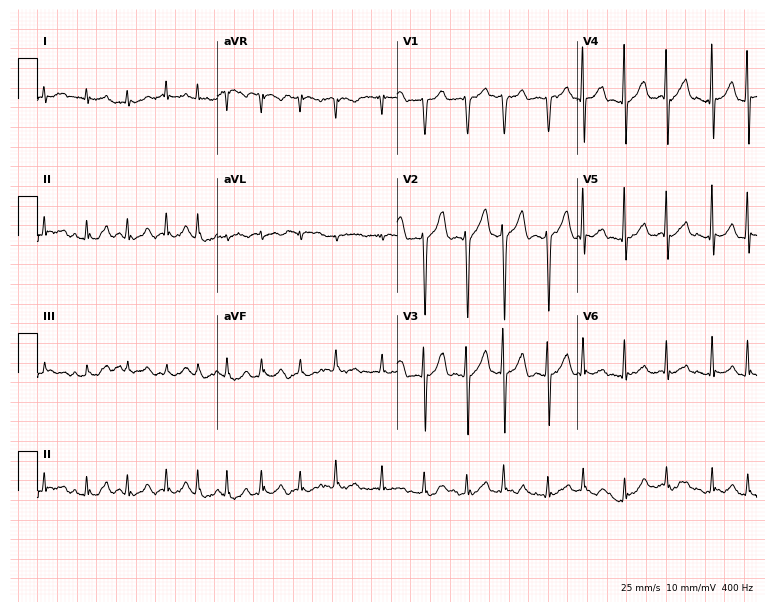
12-lead ECG from a 53-year-old male. Findings include atrial fibrillation (AF).